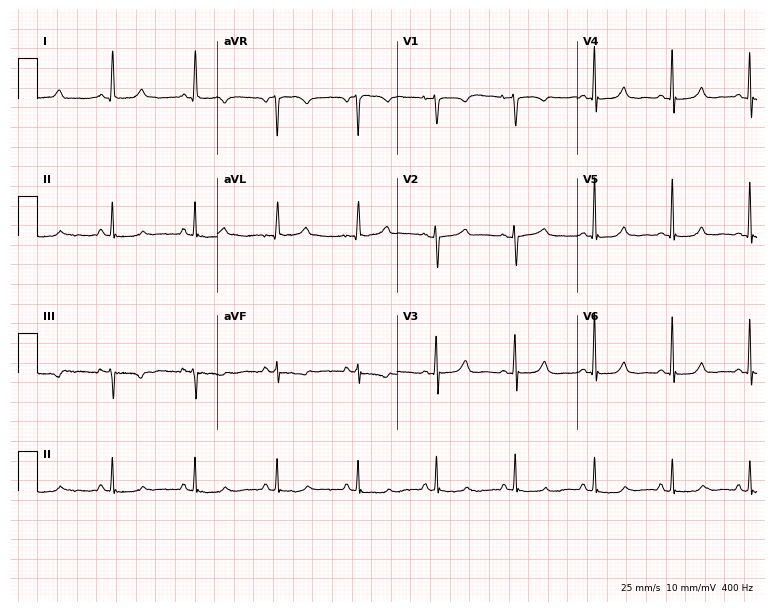
Standard 12-lead ECG recorded from a 55-year-old woman (7.3-second recording at 400 Hz). None of these six findings is recorded: first-degree AV block, right bundle branch block (RBBB), left bundle branch block (LBBB), sinus bradycardia, atrial fibrillation (AF), sinus tachycardia. Other findings, if any, are not listed.